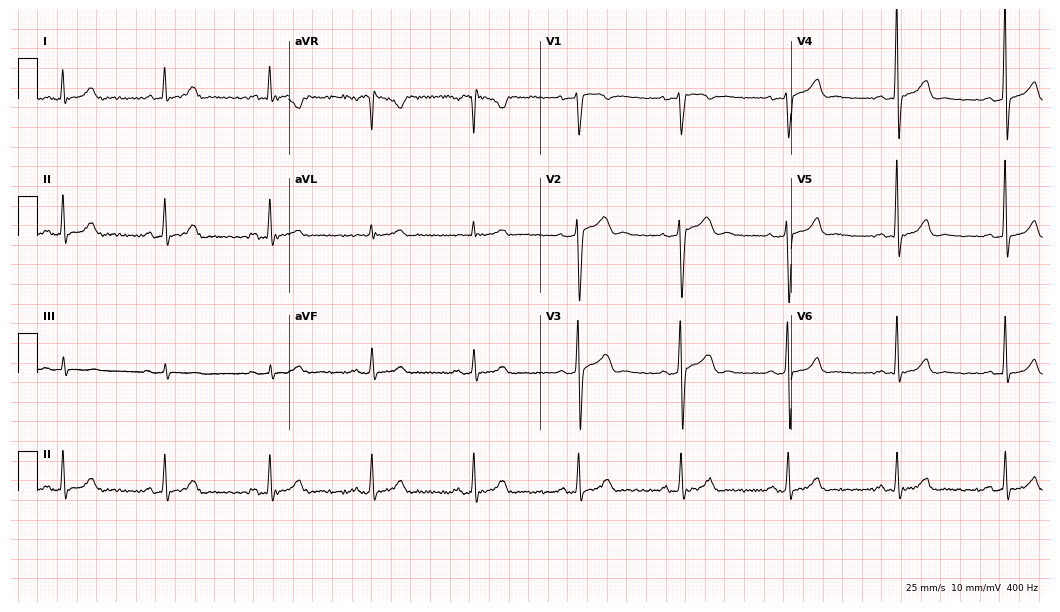
12-lead ECG from a male patient, 40 years old (10.2-second recording at 400 Hz). Recorded interpretation: within normal limits.